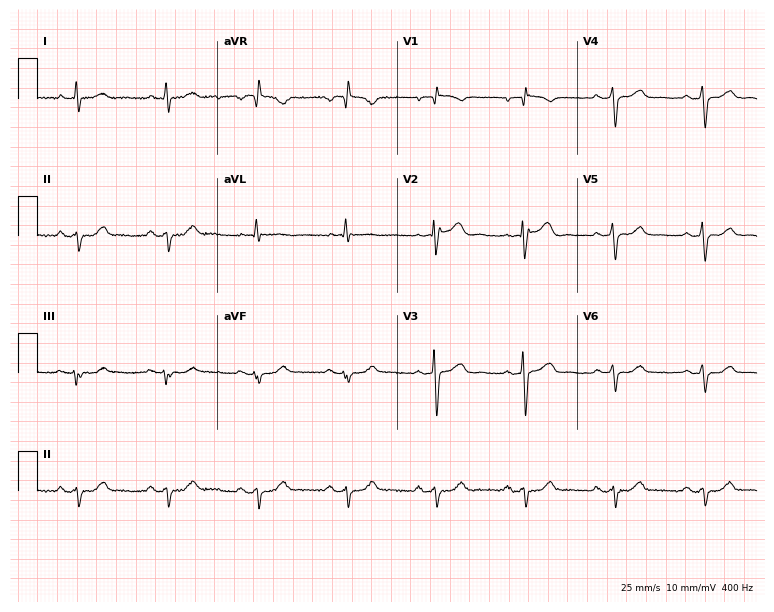
Resting 12-lead electrocardiogram. Patient: a 77-year-old male. None of these six findings is recorded: first-degree AV block, right bundle branch block, left bundle branch block, sinus bradycardia, atrial fibrillation, sinus tachycardia. Other findings, if any, are not listed.